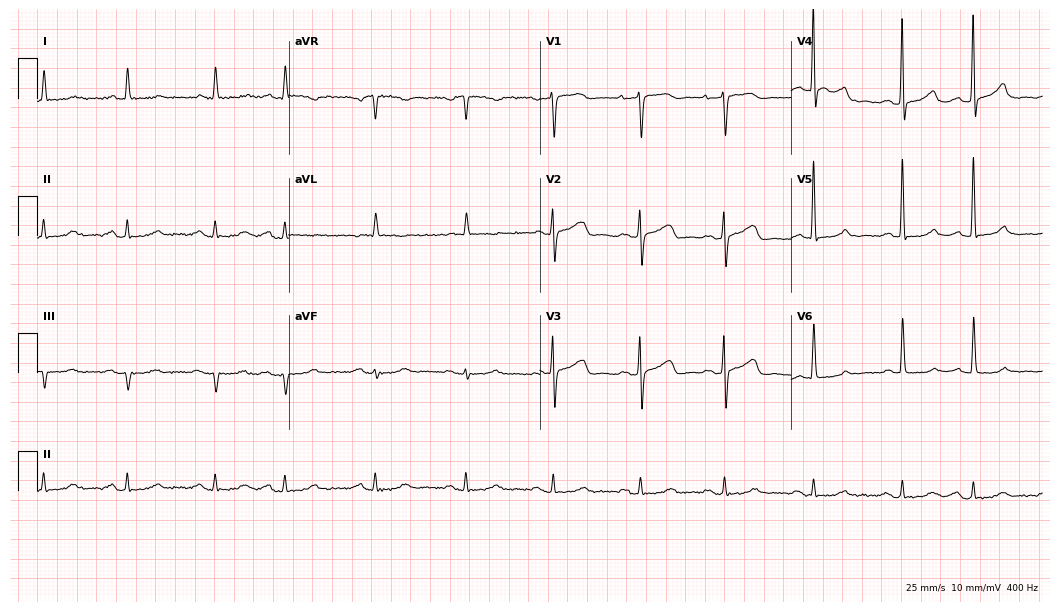
12-lead ECG from a woman, 70 years old. Shows first-degree AV block.